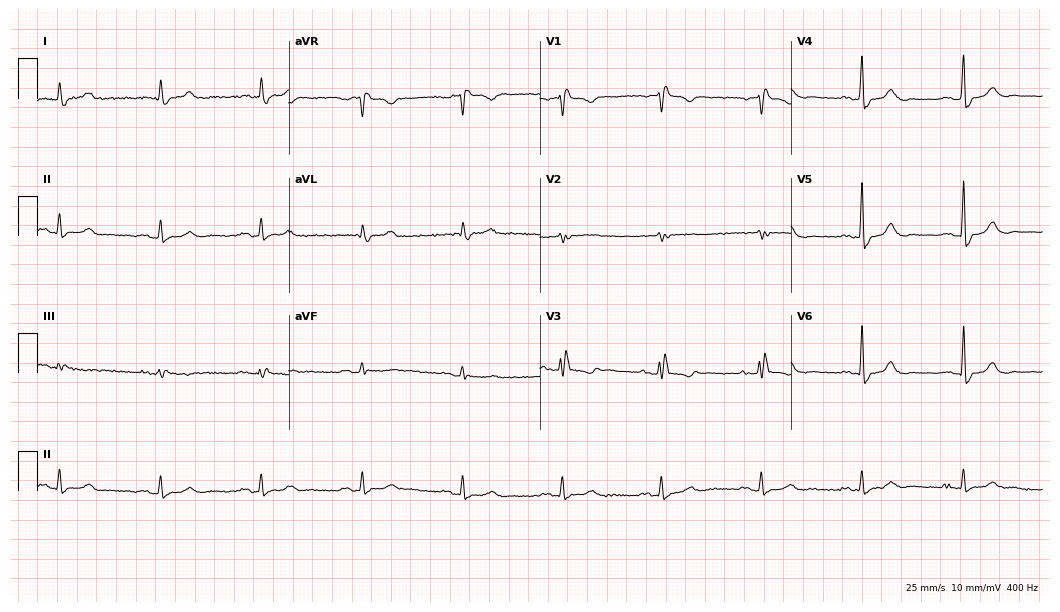
12-lead ECG from a male, 83 years old (10.2-second recording at 400 Hz). Shows right bundle branch block.